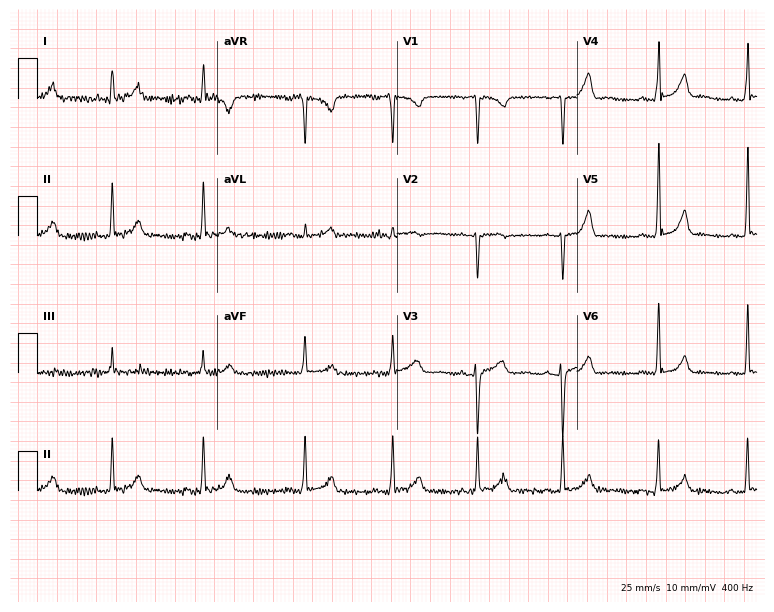
ECG (7.3-second recording at 400 Hz) — a 28-year-old woman. Labelled as a normal ECG.